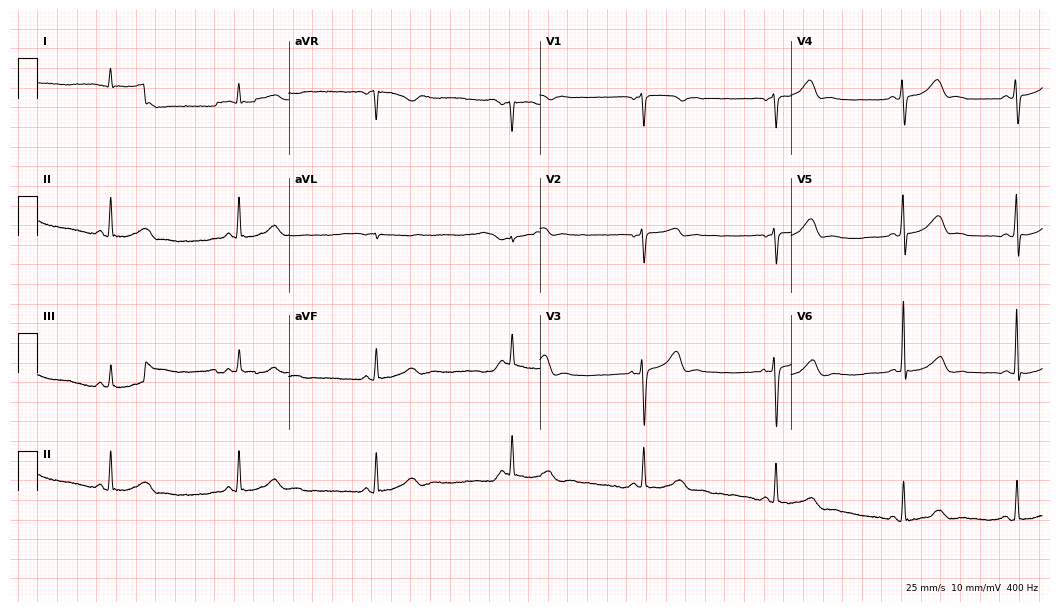
ECG — a 76-year-old man. Screened for six findings — first-degree AV block, right bundle branch block, left bundle branch block, sinus bradycardia, atrial fibrillation, sinus tachycardia — none is recorded.